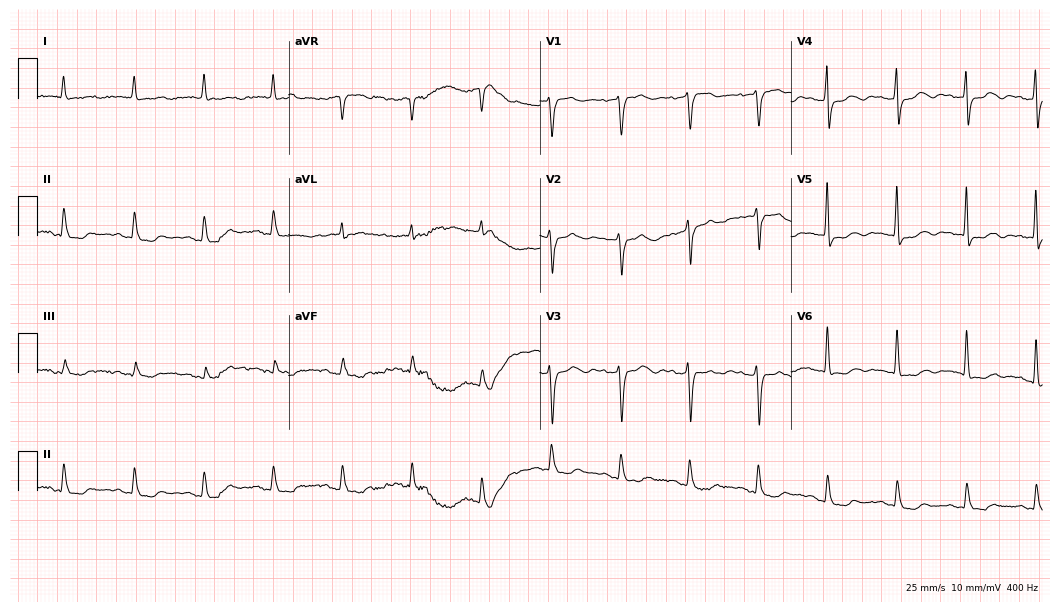
Standard 12-lead ECG recorded from a woman, 84 years old. None of these six findings is recorded: first-degree AV block, right bundle branch block (RBBB), left bundle branch block (LBBB), sinus bradycardia, atrial fibrillation (AF), sinus tachycardia.